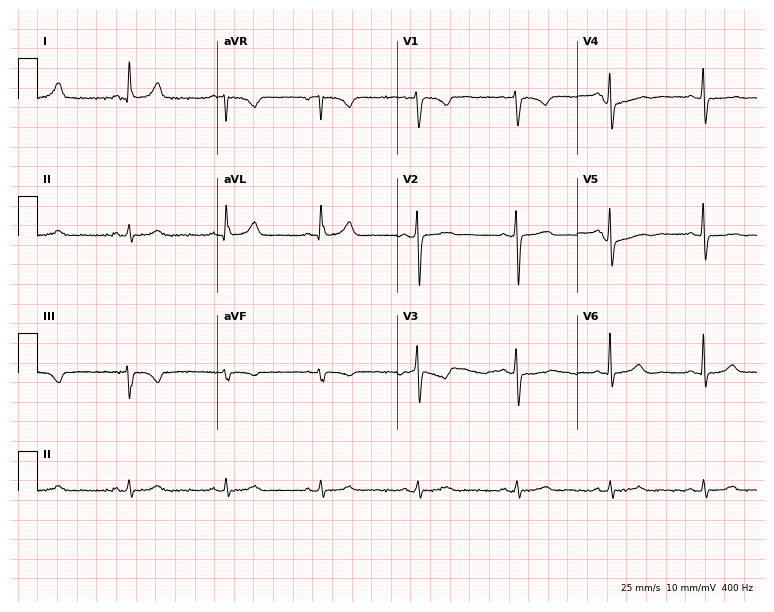
12-lead ECG from a 46-year-old male patient. Labelled as a normal ECG.